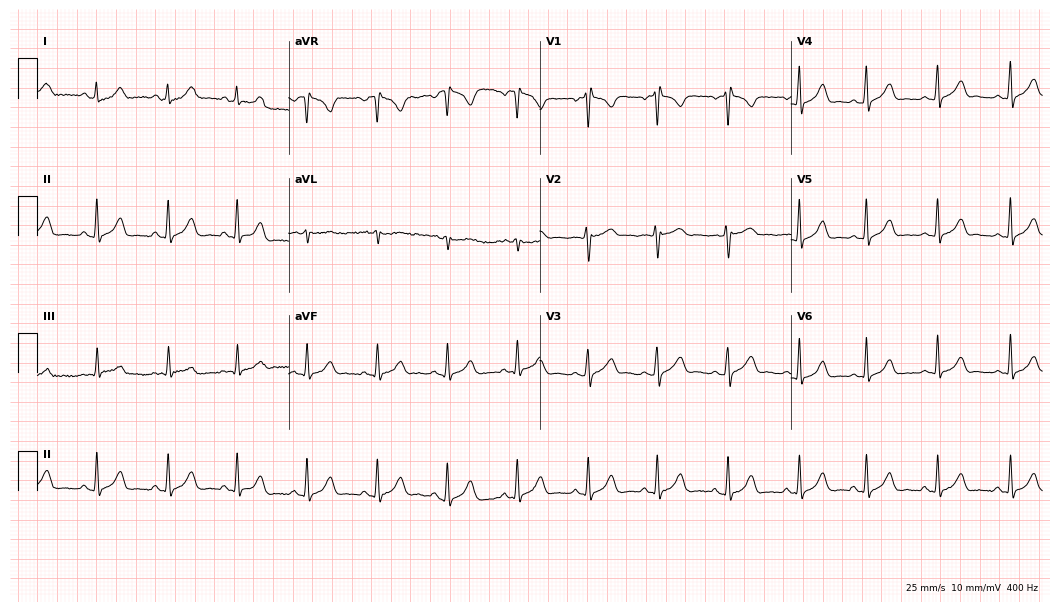
Resting 12-lead electrocardiogram. Patient: a female, 26 years old. Read as a normal ECG.